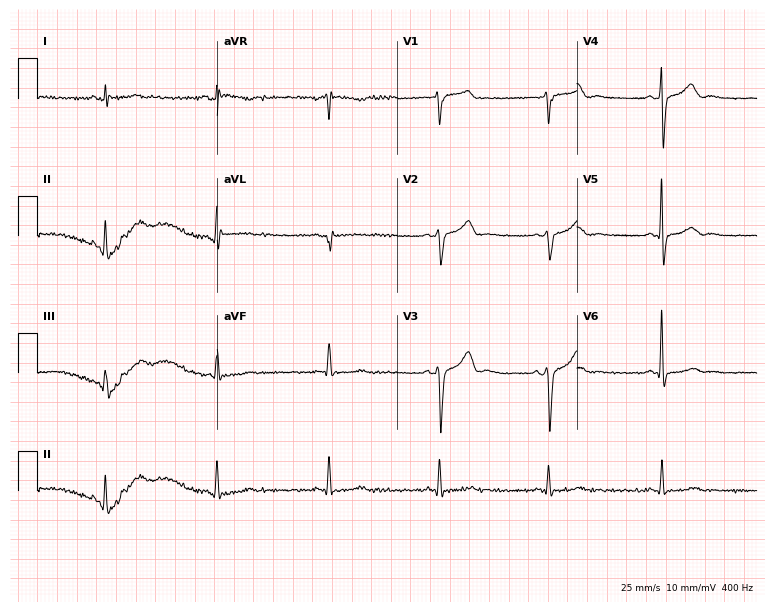
12-lead ECG from a 76-year-old man. No first-degree AV block, right bundle branch block (RBBB), left bundle branch block (LBBB), sinus bradycardia, atrial fibrillation (AF) or sinus tachycardia recorded for this tracing. Findings outside these six are not listed.